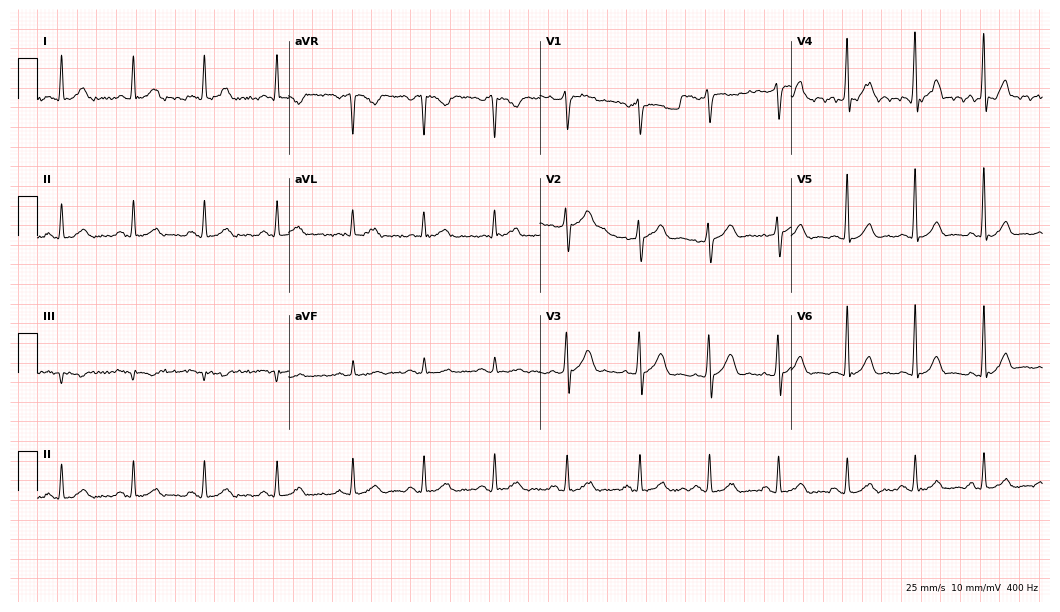
Resting 12-lead electrocardiogram (10.2-second recording at 400 Hz). Patient: a 58-year-old male. Read as a normal ECG.